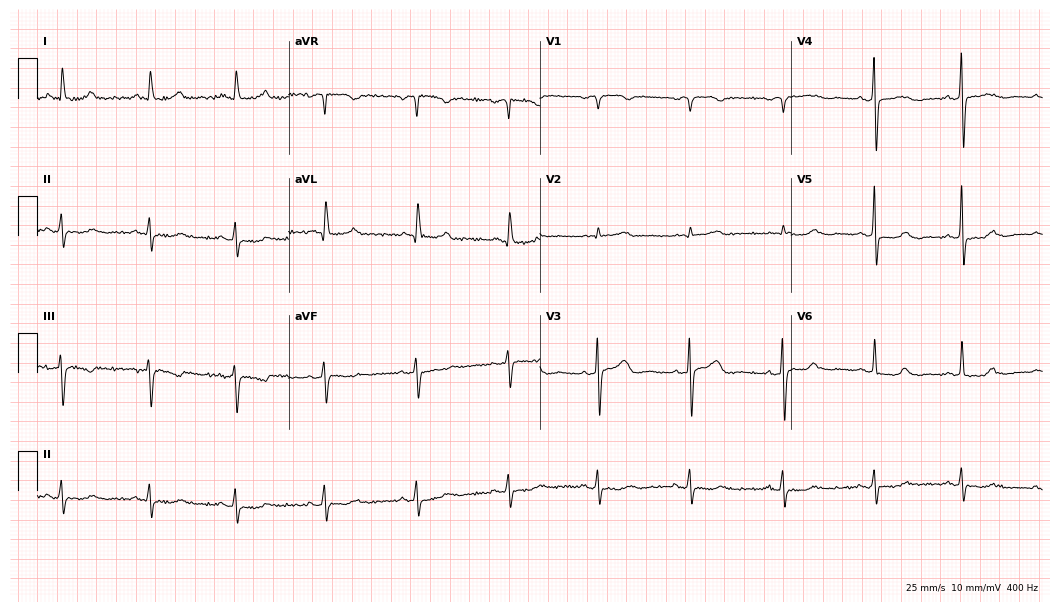
12-lead ECG from a 67-year-old female. No first-degree AV block, right bundle branch block, left bundle branch block, sinus bradycardia, atrial fibrillation or sinus tachycardia recorded for this tracing. Only these six findings were labelled.